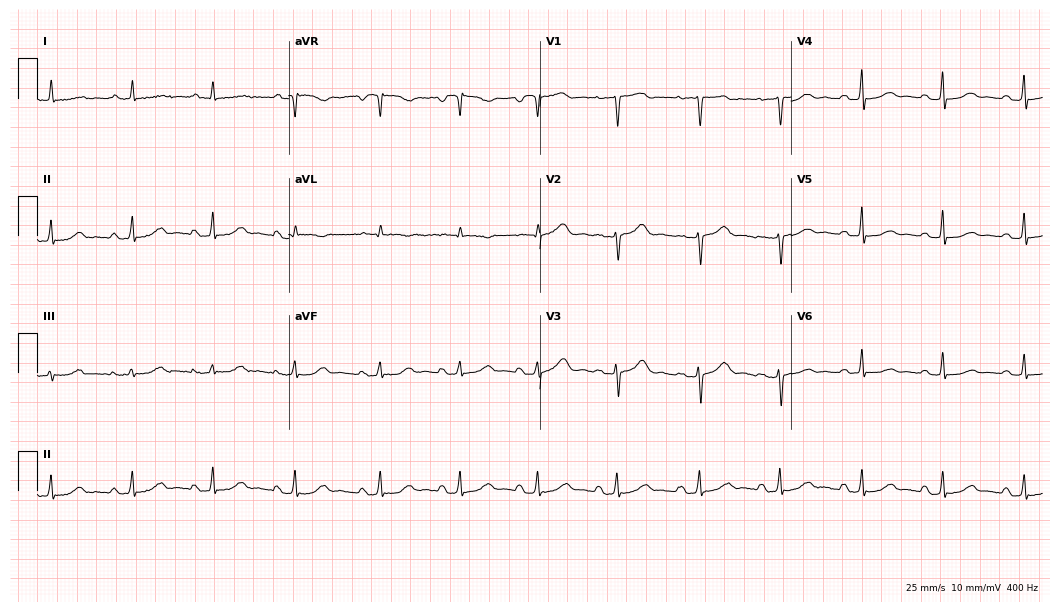
Standard 12-lead ECG recorded from a female patient, 83 years old. Read as a normal ECG.